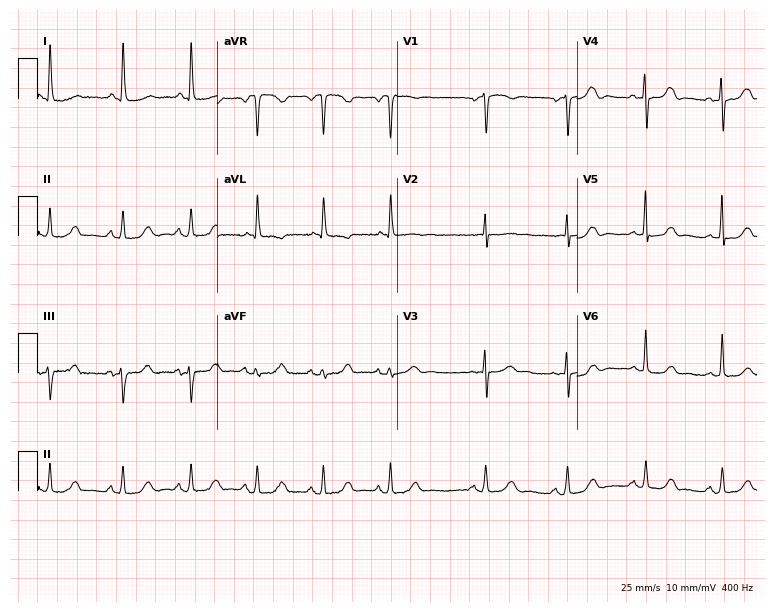
12-lead ECG from an 83-year-old female. Labelled as a normal ECG.